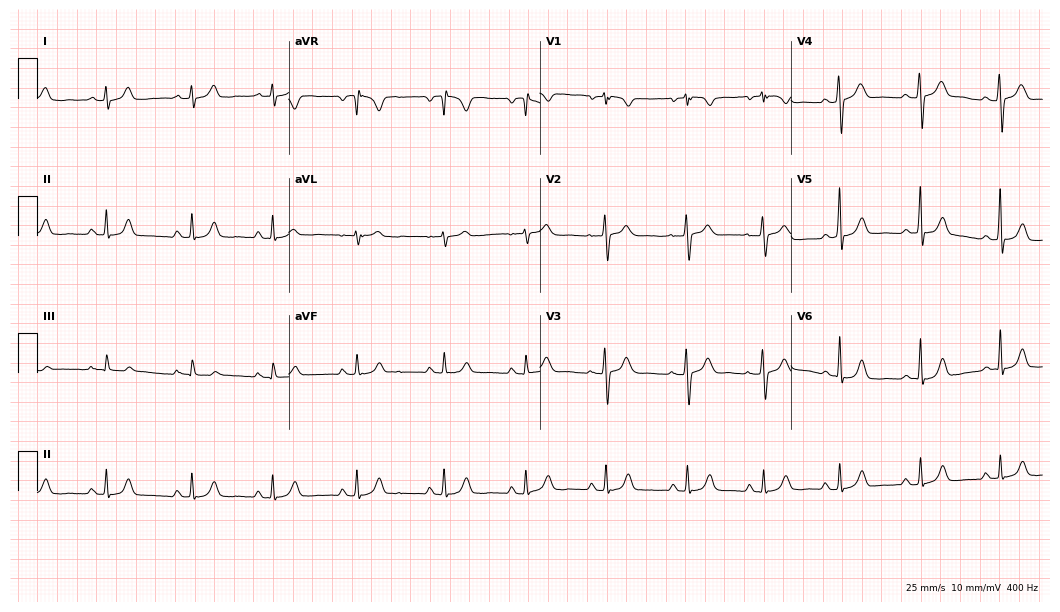
12-lead ECG from a 19-year-old woman. Screened for six findings — first-degree AV block, right bundle branch block, left bundle branch block, sinus bradycardia, atrial fibrillation, sinus tachycardia — none is recorded. Other findings, if any, are not listed.